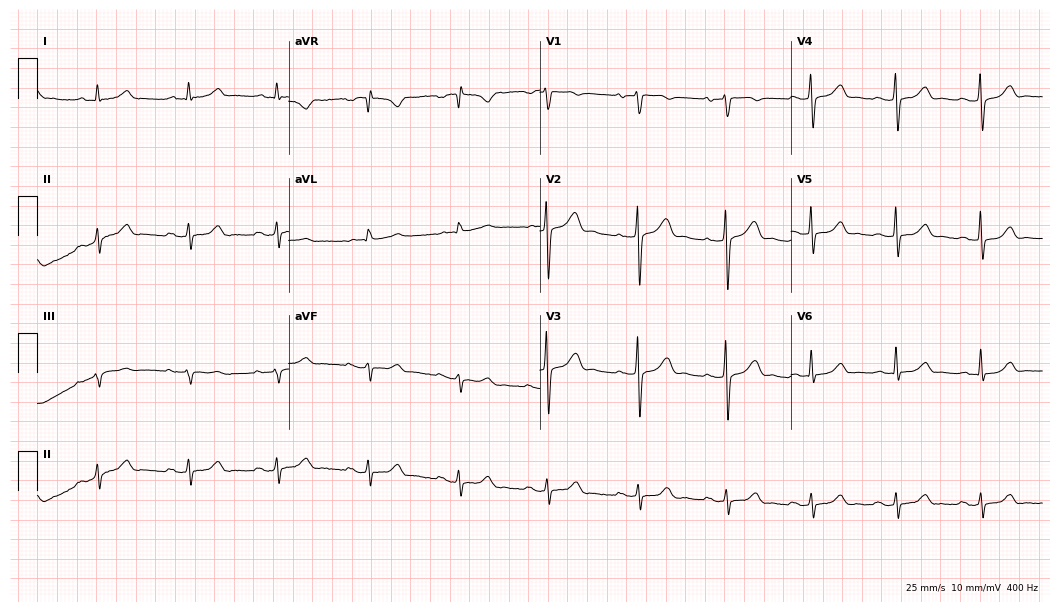
ECG — a 74-year-old male. Screened for six findings — first-degree AV block, right bundle branch block, left bundle branch block, sinus bradycardia, atrial fibrillation, sinus tachycardia — none is recorded.